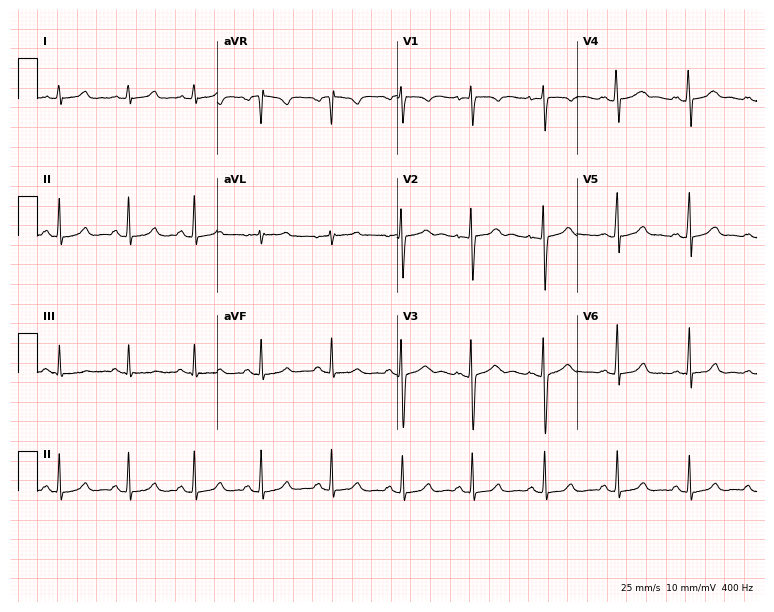
ECG — a 29-year-old female. Labelled as a normal ECG.